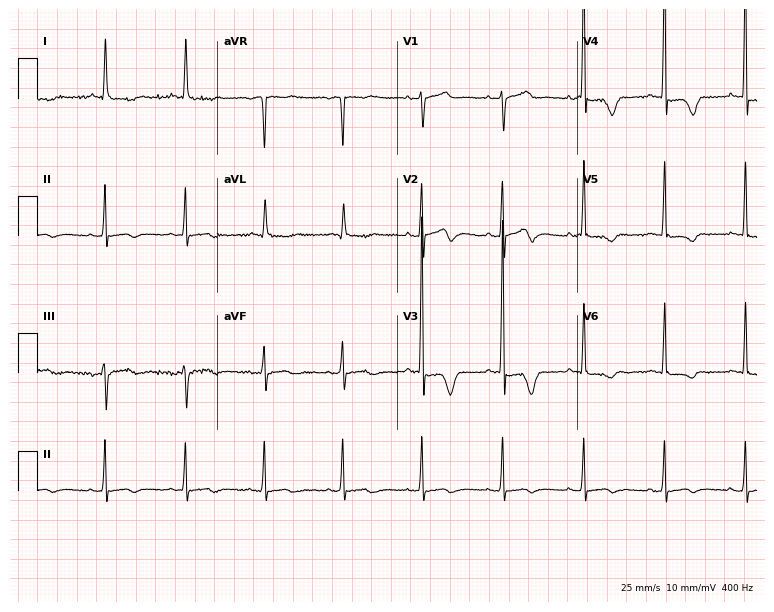
12-lead ECG from a 78-year-old woman. No first-degree AV block, right bundle branch block, left bundle branch block, sinus bradycardia, atrial fibrillation or sinus tachycardia recorded for this tracing. Other findings, if any, are not listed.